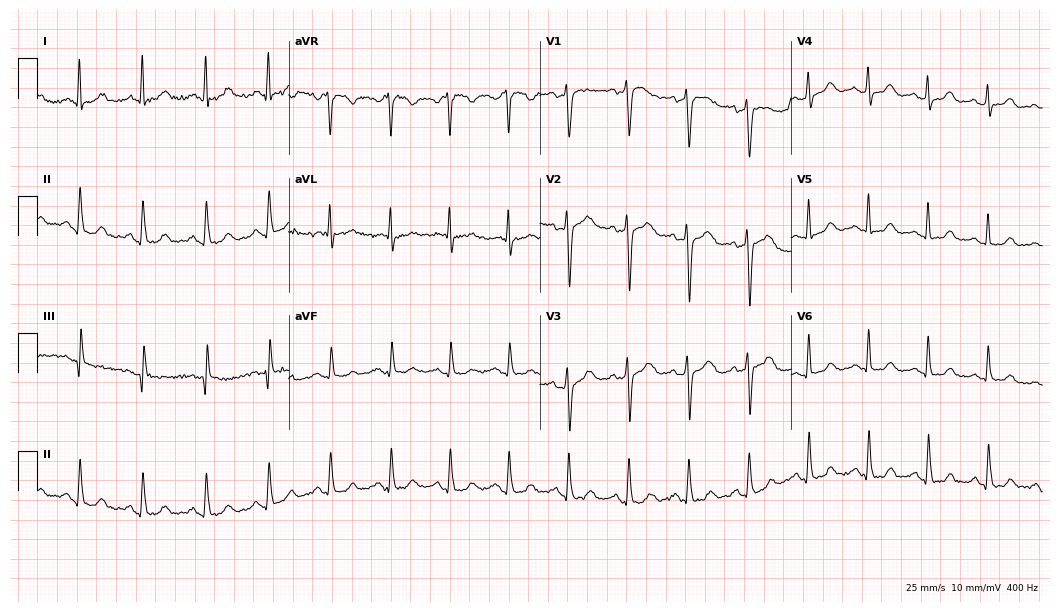
12-lead ECG from a 47-year-old woman (10.2-second recording at 400 Hz). Recorded interpretation: within normal limits.